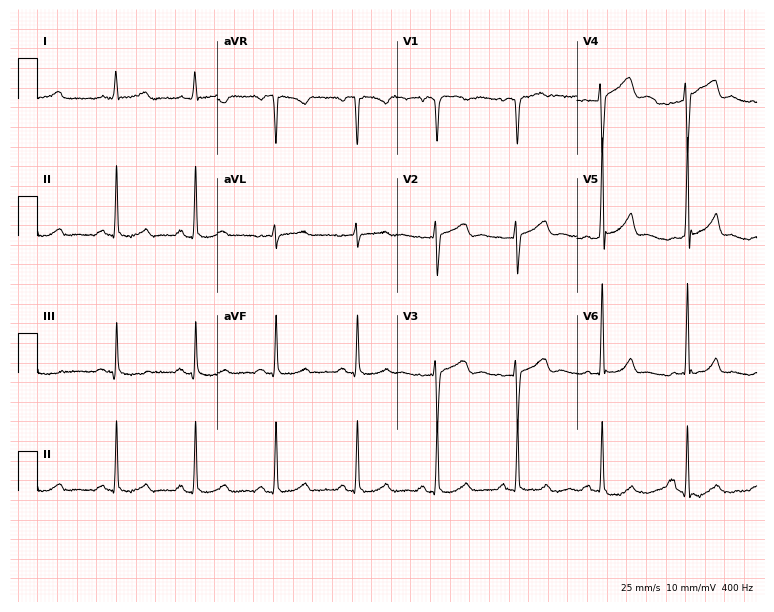
ECG (7.3-second recording at 400 Hz) — a male, 52 years old. Screened for six findings — first-degree AV block, right bundle branch block, left bundle branch block, sinus bradycardia, atrial fibrillation, sinus tachycardia — none is recorded.